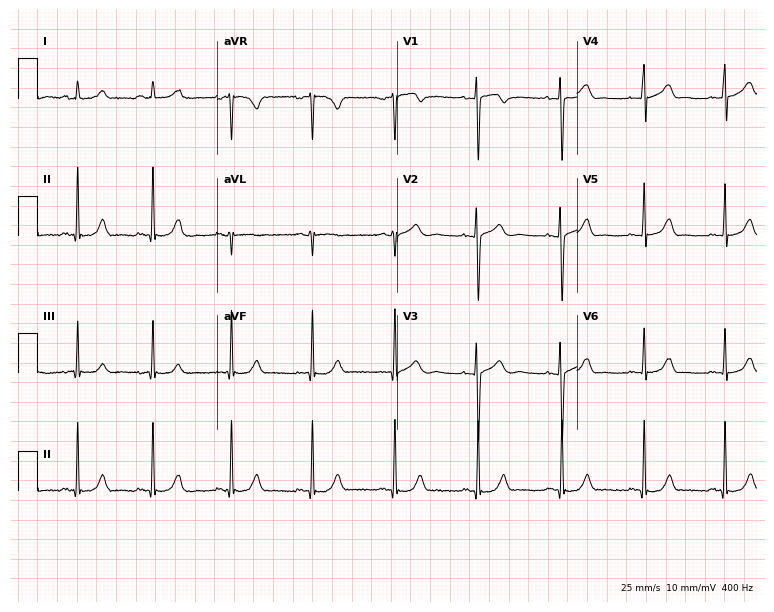
Resting 12-lead electrocardiogram. Patient: an 18-year-old female. Read as a normal ECG.